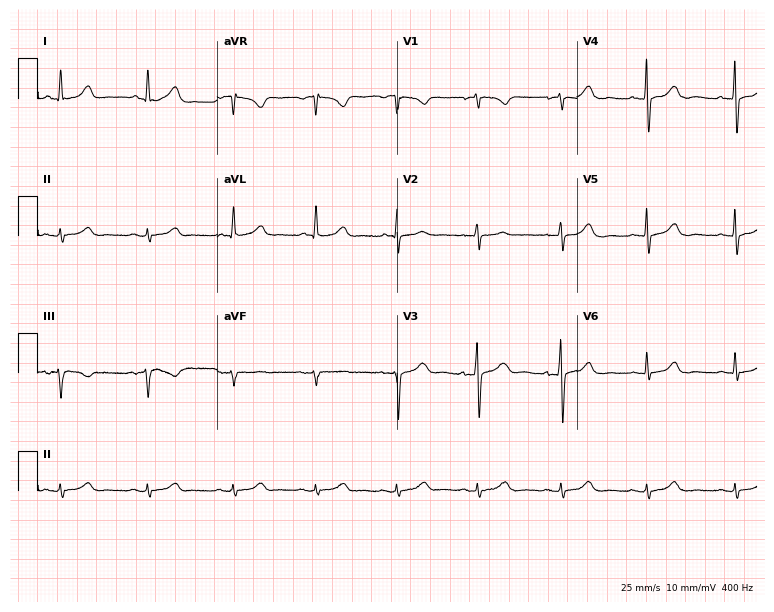
ECG — a 66-year-old female. Labelled as a normal ECG.